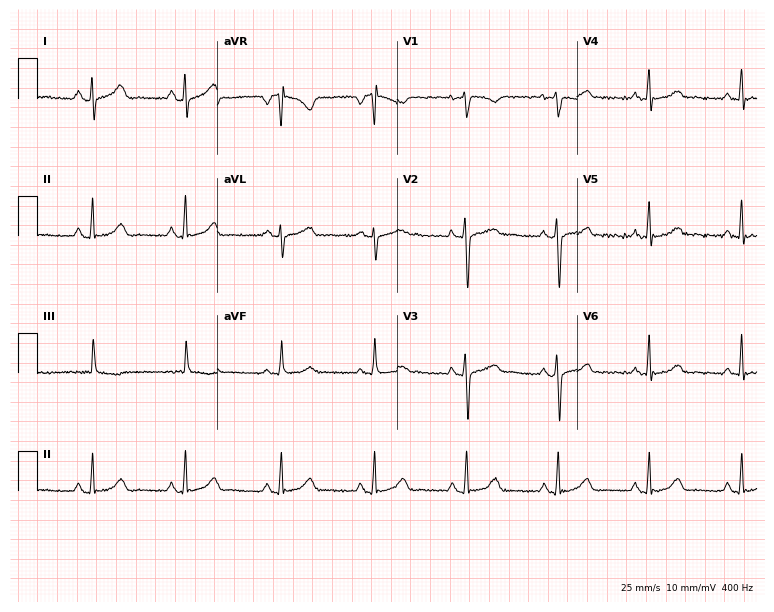
ECG — a woman, 31 years old. Labelled as a normal ECG.